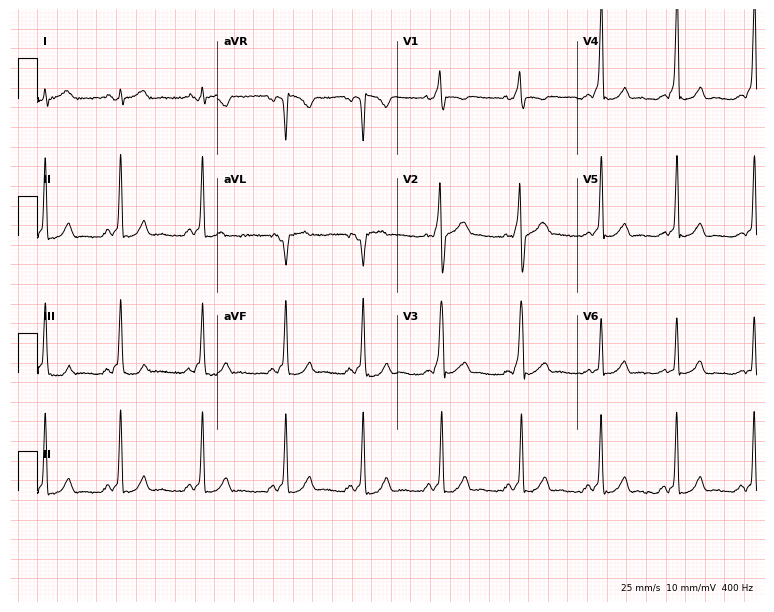
ECG (7.3-second recording at 400 Hz) — a male patient, 32 years old. Screened for six findings — first-degree AV block, right bundle branch block, left bundle branch block, sinus bradycardia, atrial fibrillation, sinus tachycardia — none is recorded.